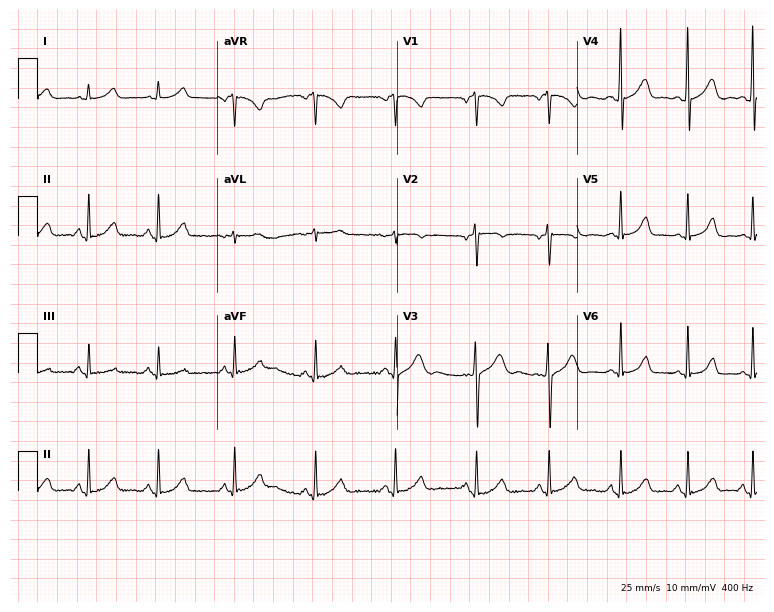
Resting 12-lead electrocardiogram. Patient: an 18-year-old female. None of these six findings is recorded: first-degree AV block, right bundle branch block, left bundle branch block, sinus bradycardia, atrial fibrillation, sinus tachycardia. Only these six findings were labelled.